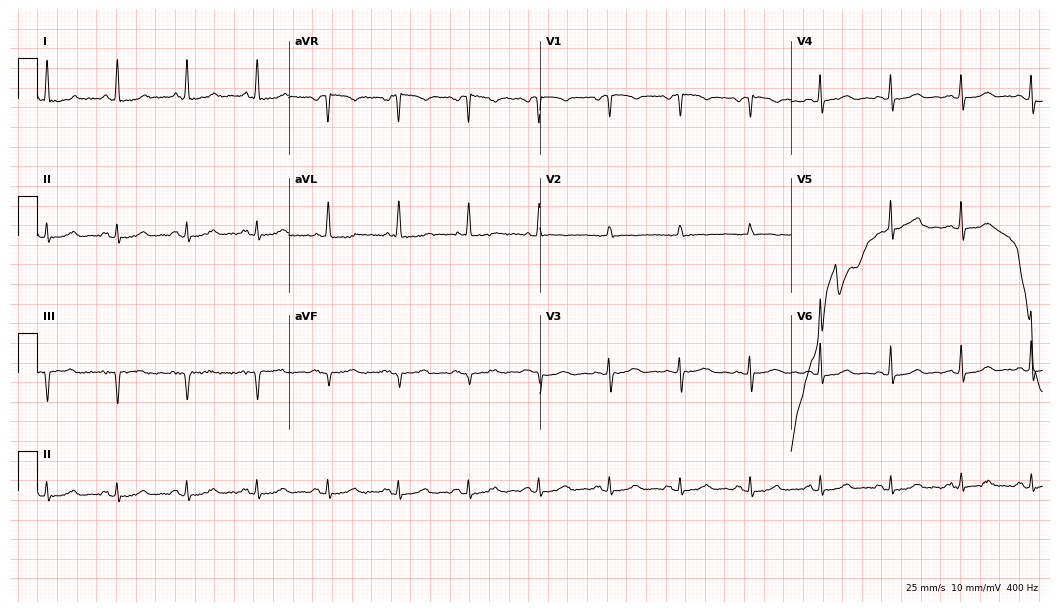
Electrocardiogram (10.2-second recording at 400 Hz), an 83-year-old female. Of the six screened findings (first-degree AV block, right bundle branch block, left bundle branch block, sinus bradycardia, atrial fibrillation, sinus tachycardia), none is recorded. Other findings, if any, are not listed.